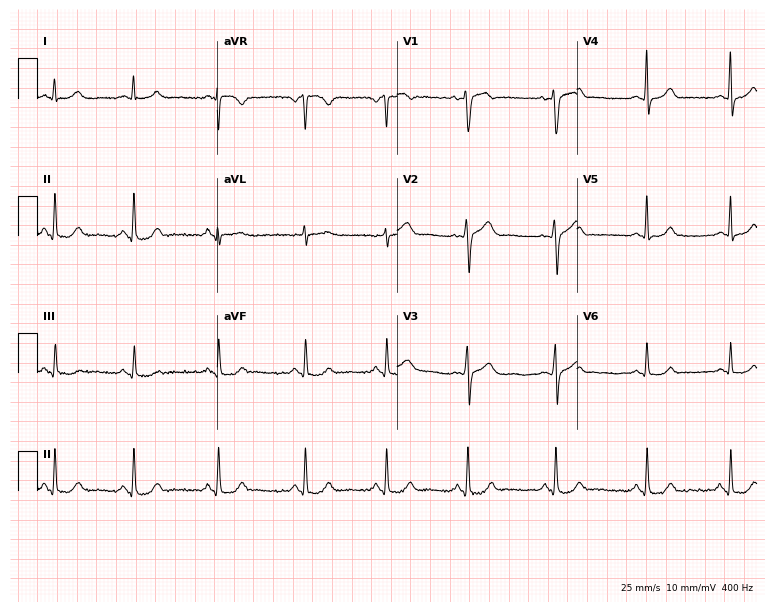
Electrocardiogram (7.3-second recording at 400 Hz), a 32-year-old woman. Of the six screened findings (first-degree AV block, right bundle branch block (RBBB), left bundle branch block (LBBB), sinus bradycardia, atrial fibrillation (AF), sinus tachycardia), none is recorded. Other findings, if any, are not listed.